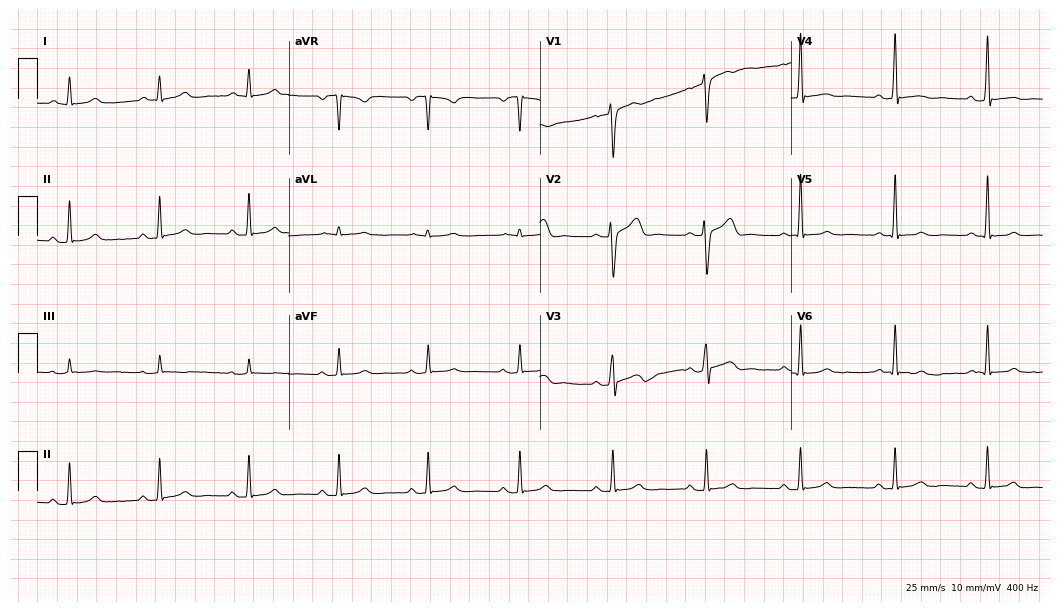
Electrocardiogram, a man, 34 years old. Overall reading on record: normal ECG.